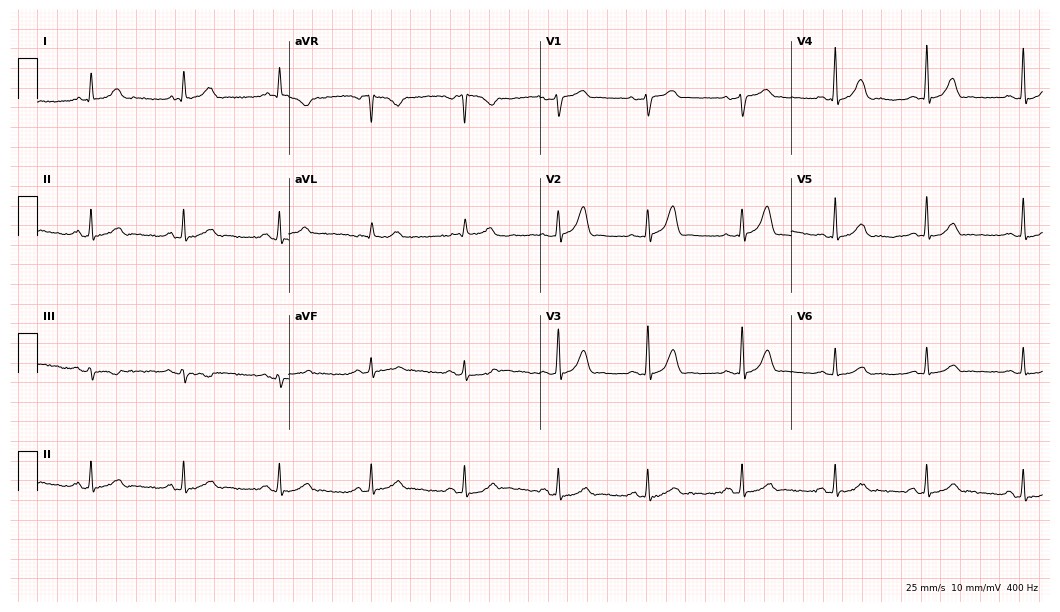
12-lead ECG (10.2-second recording at 400 Hz) from an 82-year-old male. Labelled as a normal ECG.